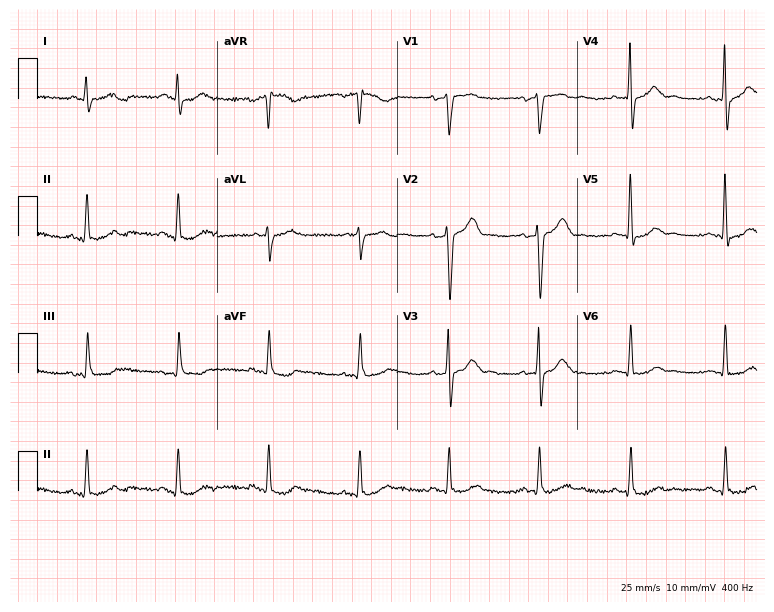
12-lead ECG from a 59-year-old man (7.3-second recording at 400 Hz). Recorded interpretation: within normal limits.